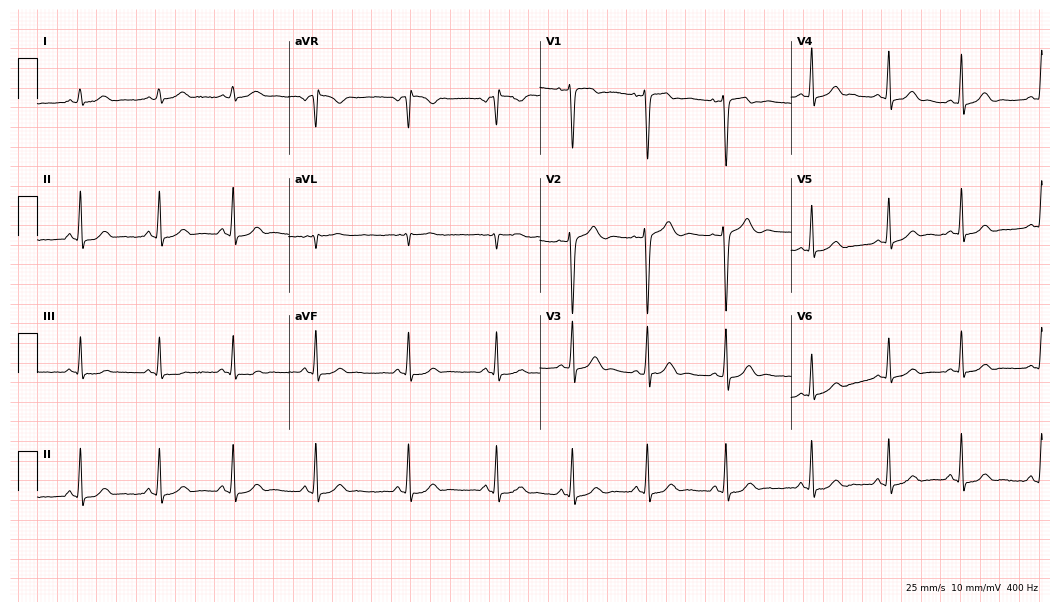
12-lead ECG from a 29-year-old female. Recorded interpretation: within normal limits.